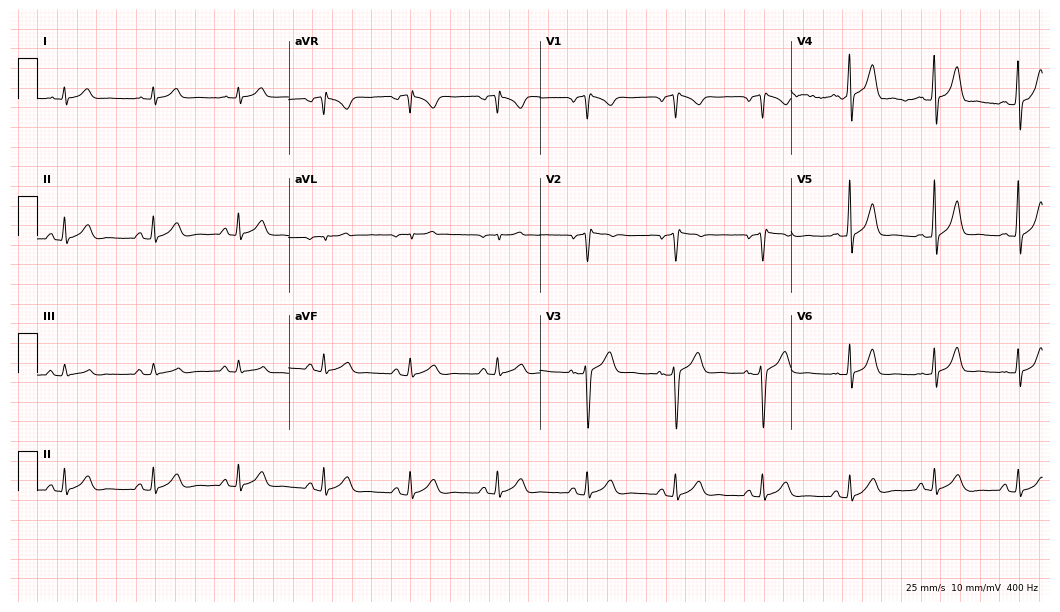
ECG (10.2-second recording at 400 Hz) — a male patient, 52 years old. Labelled as a normal ECG.